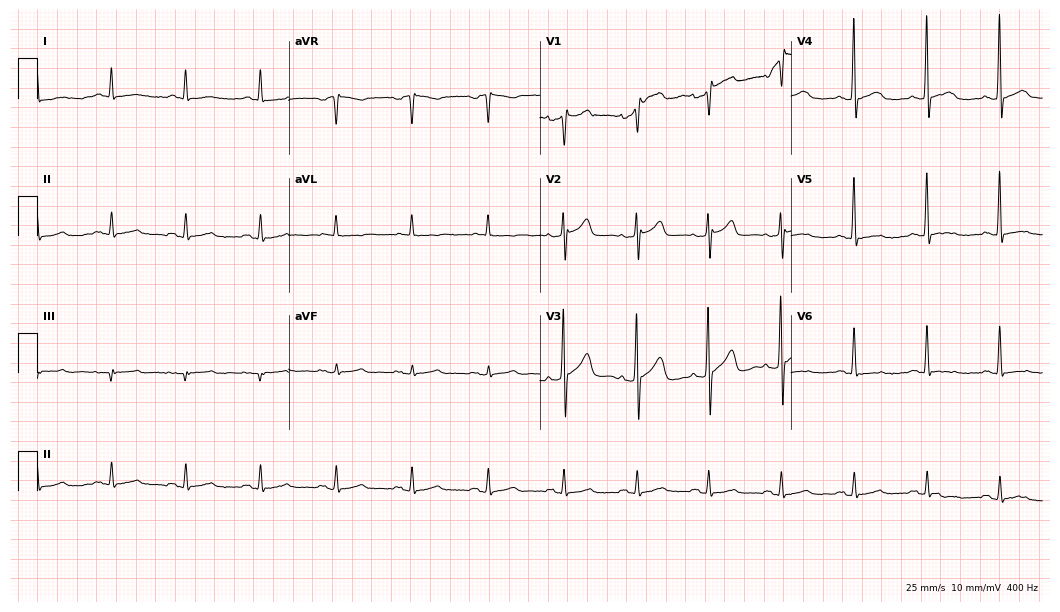
12-lead ECG from a male, 63 years old. Recorded interpretation: within normal limits.